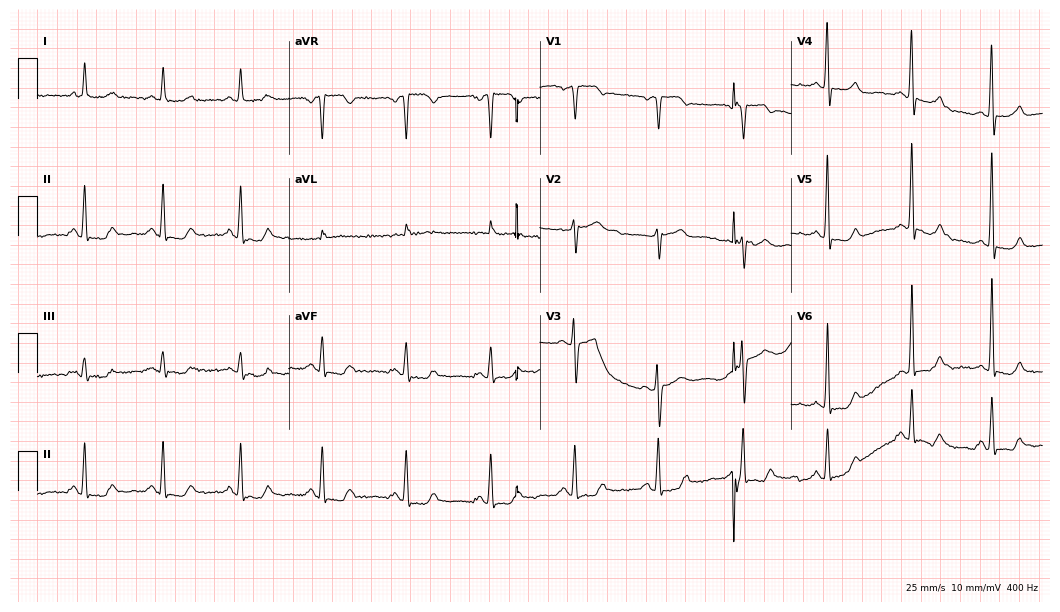
Resting 12-lead electrocardiogram (10.2-second recording at 400 Hz). Patient: a female, 64 years old. None of these six findings is recorded: first-degree AV block, right bundle branch block, left bundle branch block, sinus bradycardia, atrial fibrillation, sinus tachycardia. Findings outside these six are not listed.